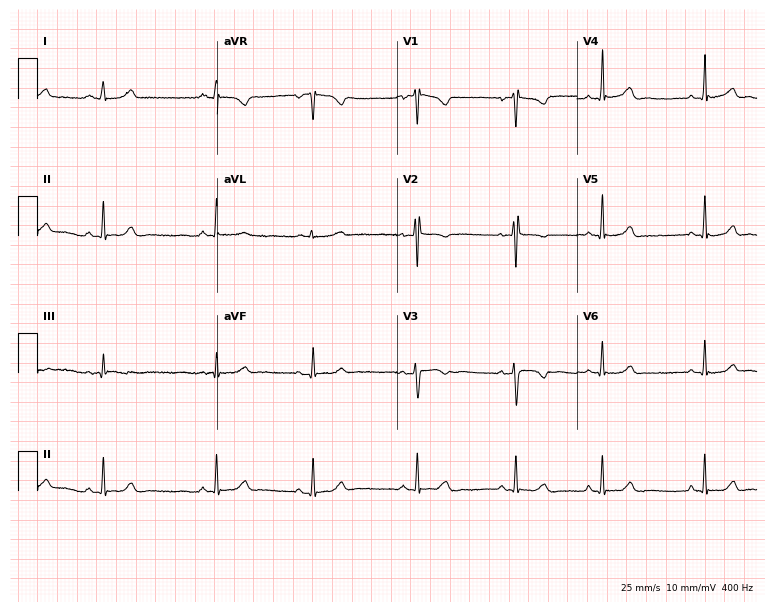
Electrocardiogram, a female, 20 years old. Of the six screened findings (first-degree AV block, right bundle branch block, left bundle branch block, sinus bradycardia, atrial fibrillation, sinus tachycardia), none is recorded. Other findings, if any, are not listed.